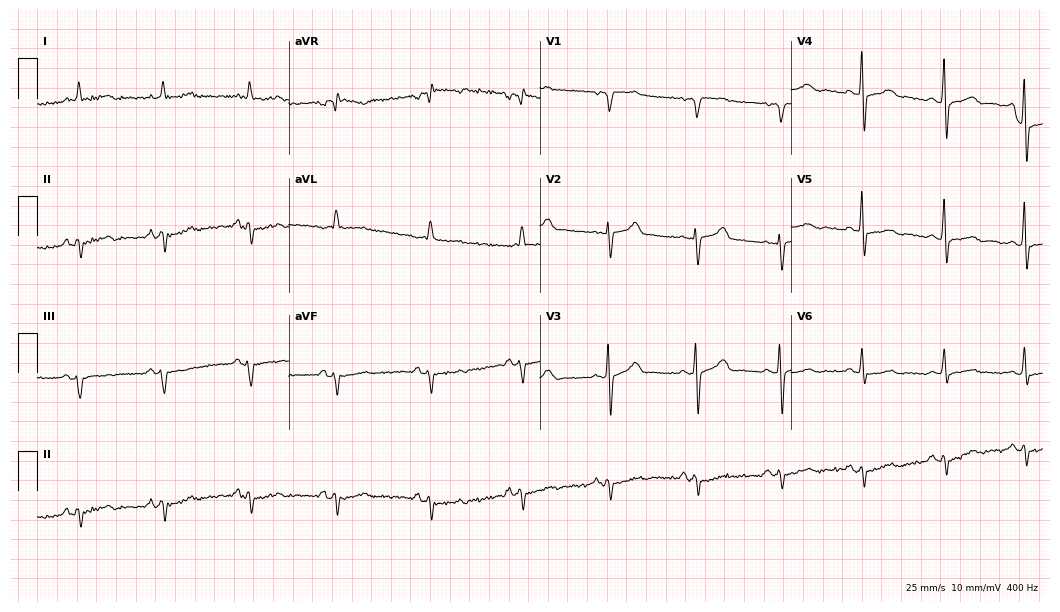
Standard 12-lead ECG recorded from a 69-year-old male (10.2-second recording at 400 Hz). None of these six findings is recorded: first-degree AV block, right bundle branch block, left bundle branch block, sinus bradycardia, atrial fibrillation, sinus tachycardia. Only these six findings were labelled.